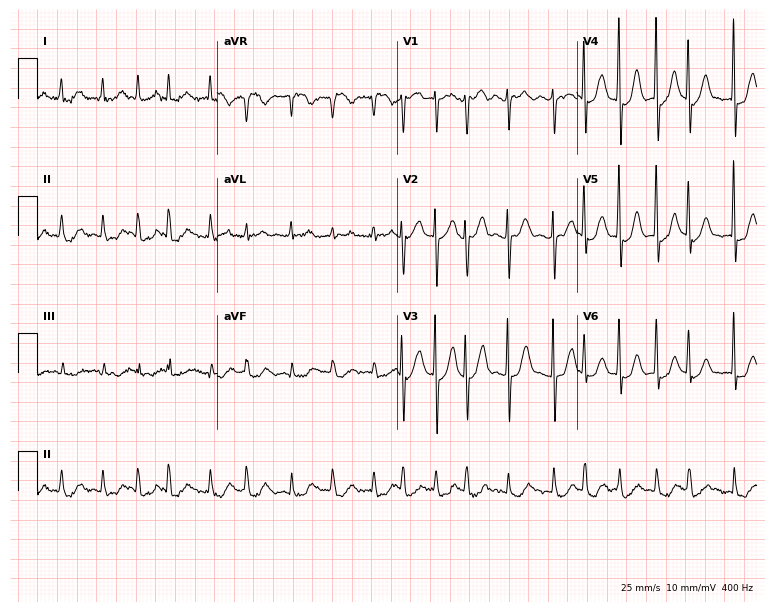
12-lead ECG (7.3-second recording at 400 Hz) from a 74-year-old female. Findings include atrial fibrillation (AF).